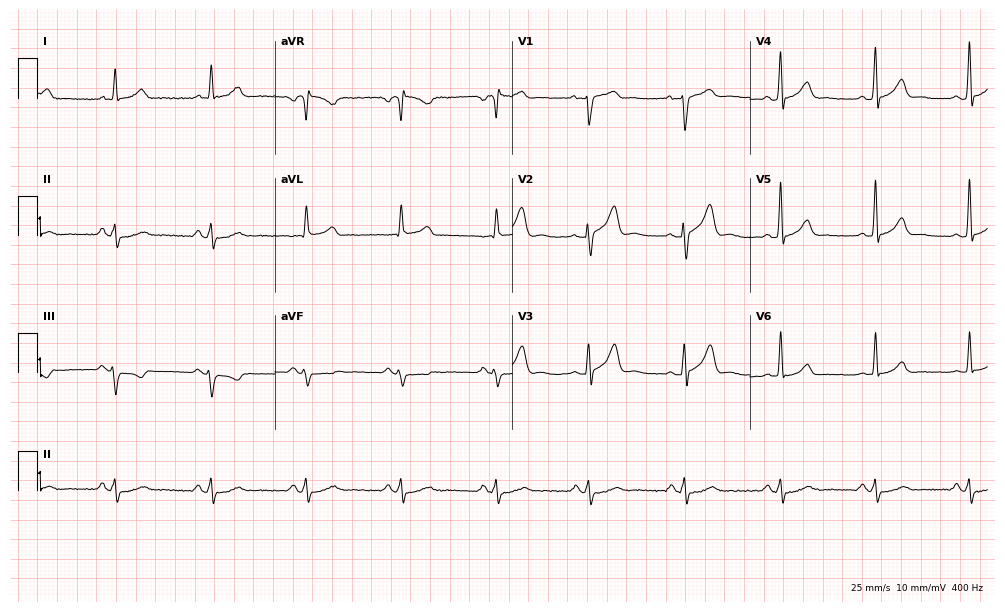
Resting 12-lead electrocardiogram. Patient: a male, 60 years old. Read as a normal ECG.